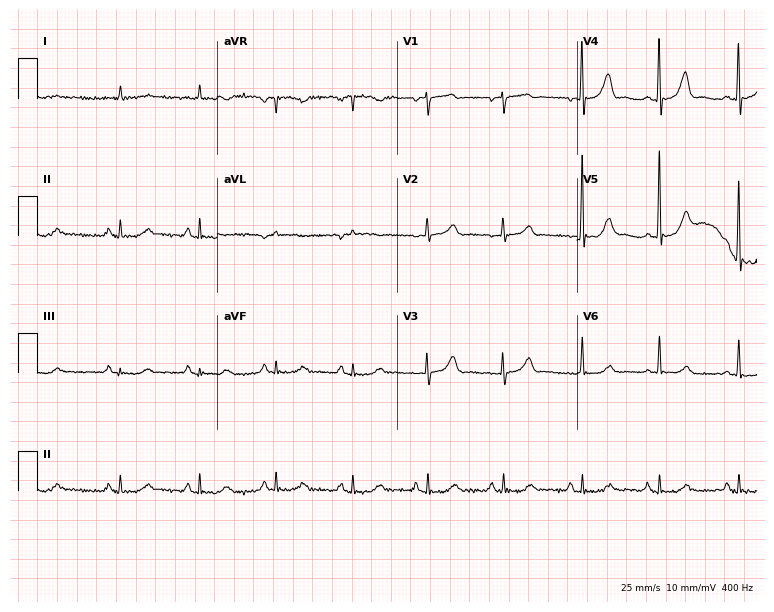
12-lead ECG (7.3-second recording at 400 Hz) from a man, 83 years old. Screened for six findings — first-degree AV block, right bundle branch block, left bundle branch block, sinus bradycardia, atrial fibrillation, sinus tachycardia — none is recorded. Findings outside these six are not listed.